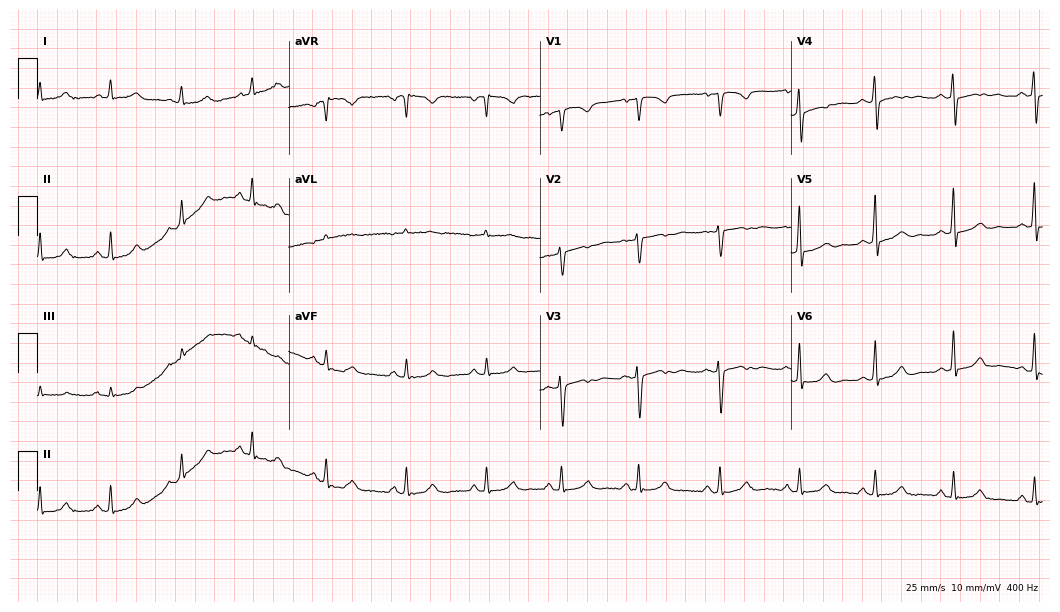
12-lead ECG from a 32-year-old female patient. Recorded interpretation: within normal limits.